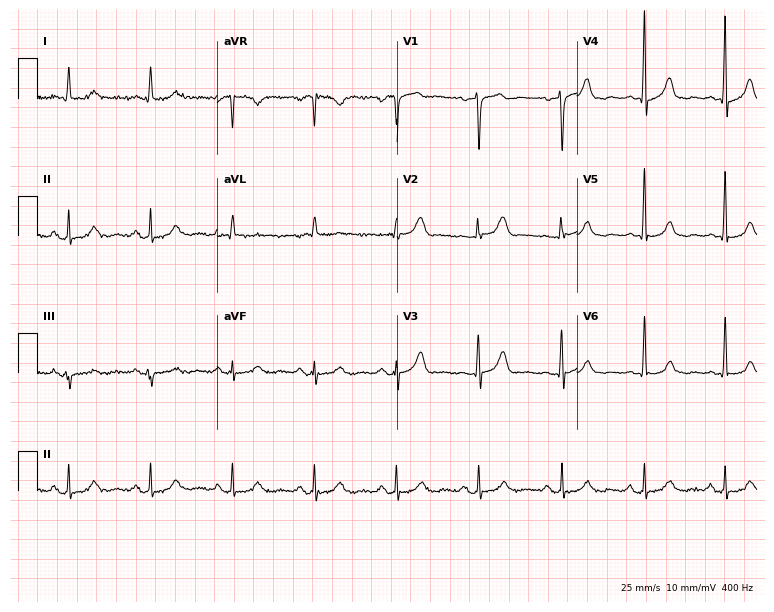
12-lead ECG from a 74-year-old man. No first-degree AV block, right bundle branch block (RBBB), left bundle branch block (LBBB), sinus bradycardia, atrial fibrillation (AF) or sinus tachycardia recorded for this tracing. Other findings, if any, are not listed.